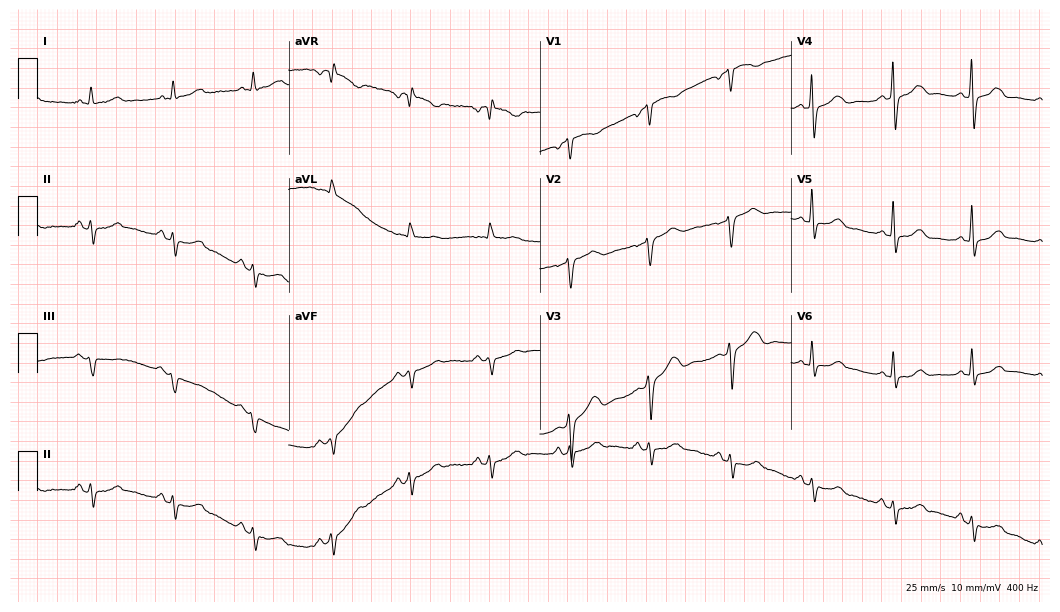
Standard 12-lead ECG recorded from a female patient, 47 years old. None of these six findings is recorded: first-degree AV block, right bundle branch block, left bundle branch block, sinus bradycardia, atrial fibrillation, sinus tachycardia. Only these six findings were labelled.